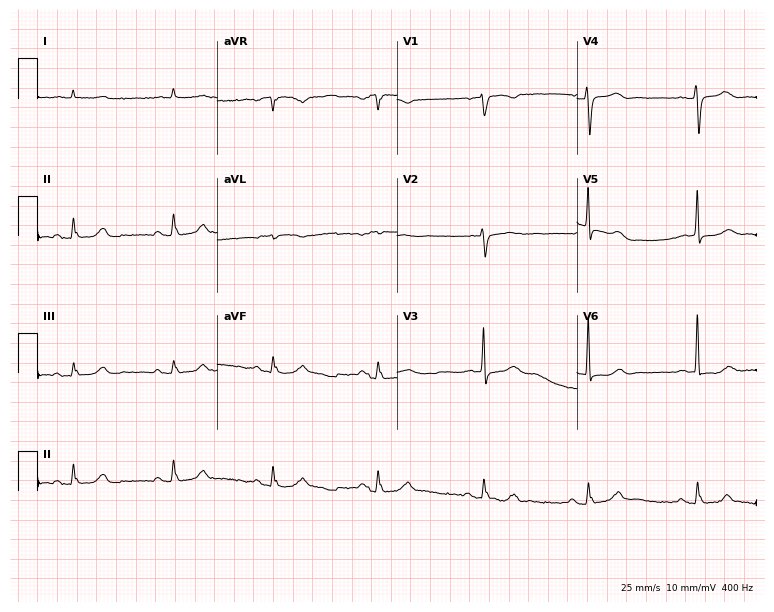
12-lead ECG from an 83-year-old male patient (7.3-second recording at 400 Hz). No first-degree AV block, right bundle branch block, left bundle branch block, sinus bradycardia, atrial fibrillation or sinus tachycardia recorded for this tracing.